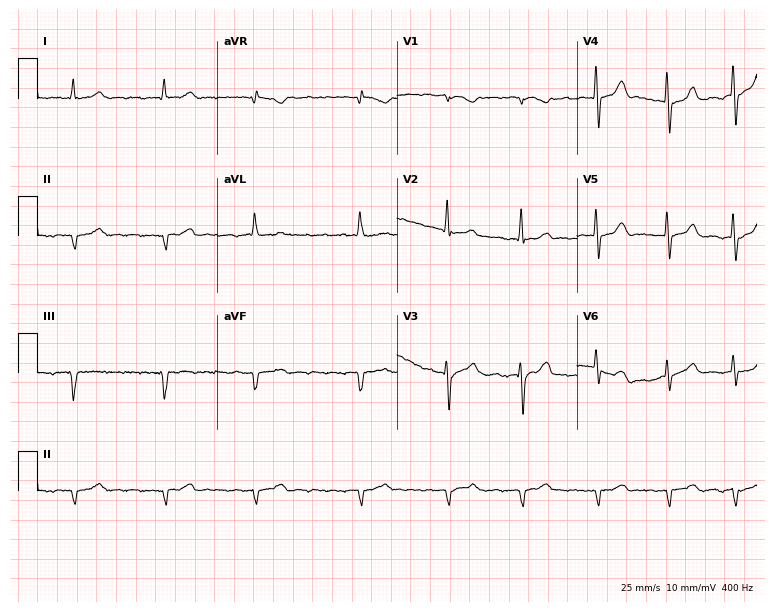
Standard 12-lead ECG recorded from a male patient, 72 years old (7.3-second recording at 400 Hz). None of these six findings is recorded: first-degree AV block, right bundle branch block (RBBB), left bundle branch block (LBBB), sinus bradycardia, atrial fibrillation (AF), sinus tachycardia. Other findings, if any, are not listed.